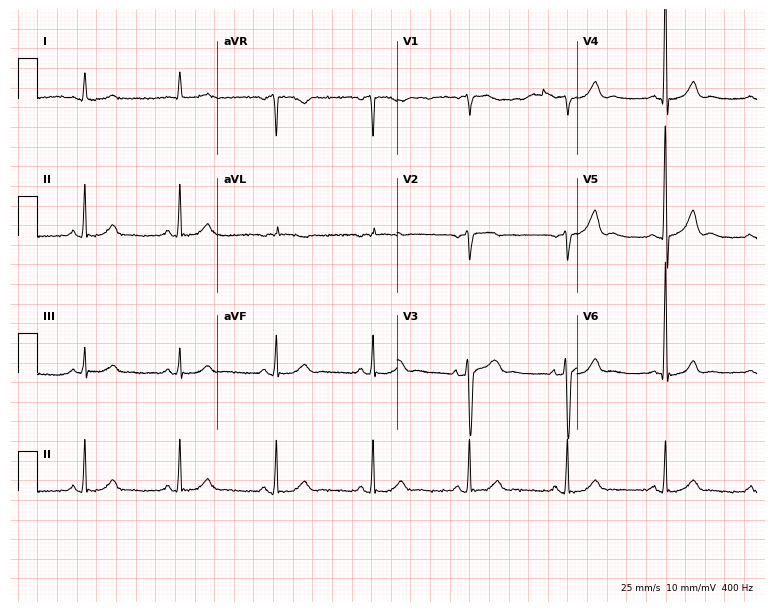
12-lead ECG from a male patient, 80 years old. Labelled as a normal ECG.